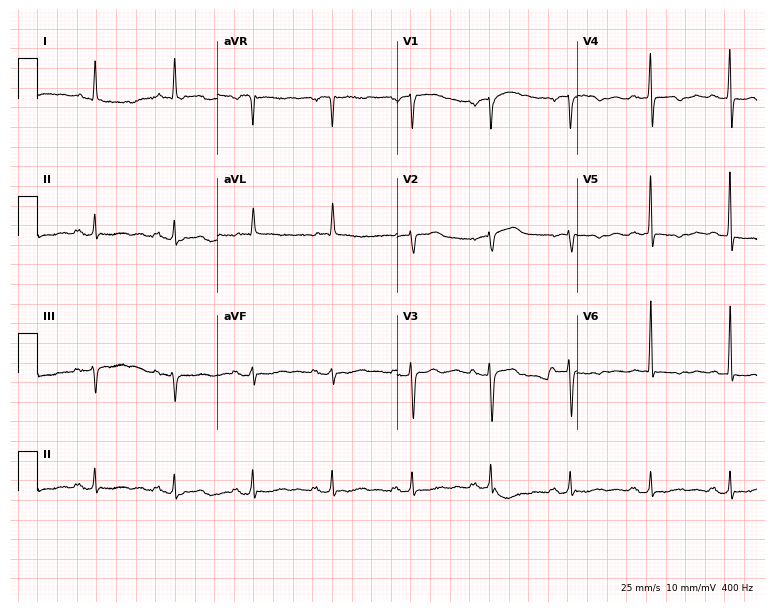
Resting 12-lead electrocardiogram (7.3-second recording at 400 Hz). Patient: a 72-year-old woman. None of these six findings is recorded: first-degree AV block, right bundle branch block (RBBB), left bundle branch block (LBBB), sinus bradycardia, atrial fibrillation (AF), sinus tachycardia.